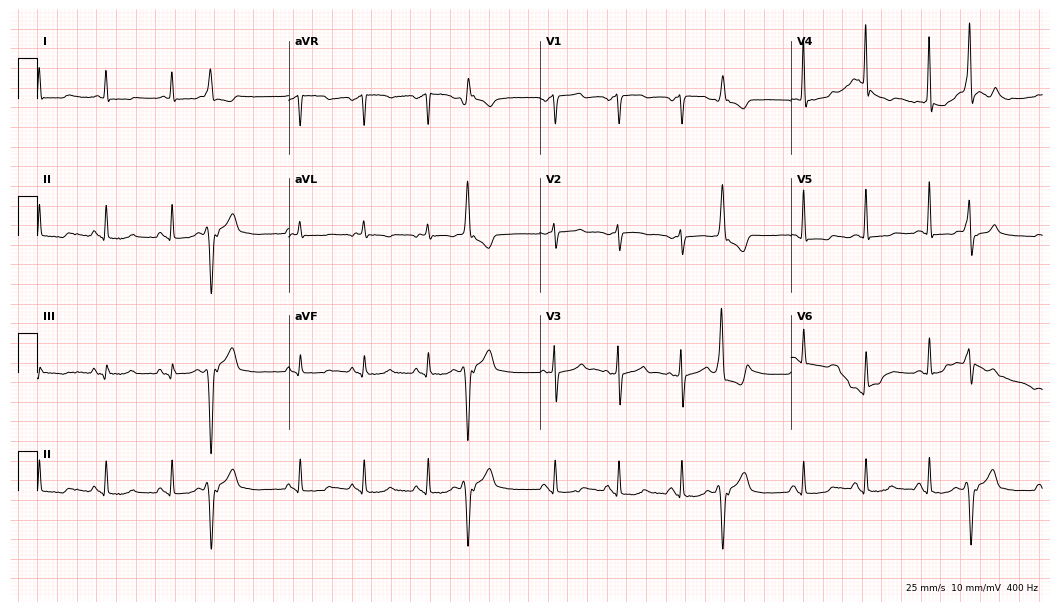
Resting 12-lead electrocardiogram (10.2-second recording at 400 Hz). Patient: a 79-year-old woman. None of these six findings is recorded: first-degree AV block, right bundle branch block, left bundle branch block, sinus bradycardia, atrial fibrillation, sinus tachycardia. Findings outside these six are not listed.